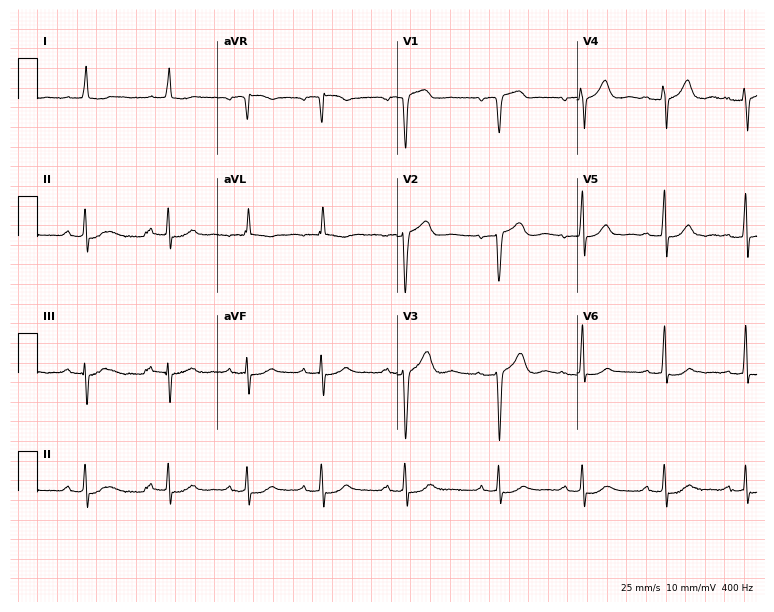
Resting 12-lead electrocardiogram (7.3-second recording at 400 Hz). Patient: a female, 85 years old. None of these six findings is recorded: first-degree AV block, right bundle branch block, left bundle branch block, sinus bradycardia, atrial fibrillation, sinus tachycardia. Only these six findings were labelled.